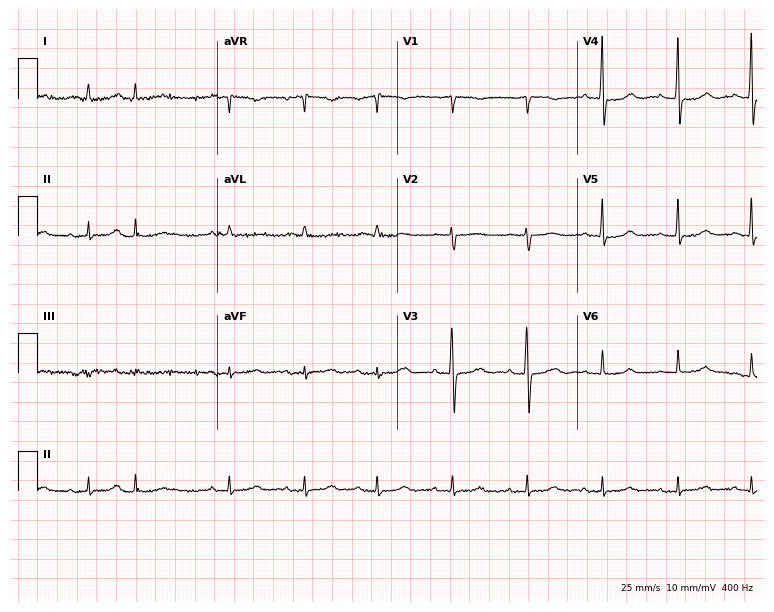
Resting 12-lead electrocardiogram. Patient: an 84-year-old female. None of these six findings is recorded: first-degree AV block, right bundle branch block (RBBB), left bundle branch block (LBBB), sinus bradycardia, atrial fibrillation (AF), sinus tachycardia. Findings outside these six are not listed.